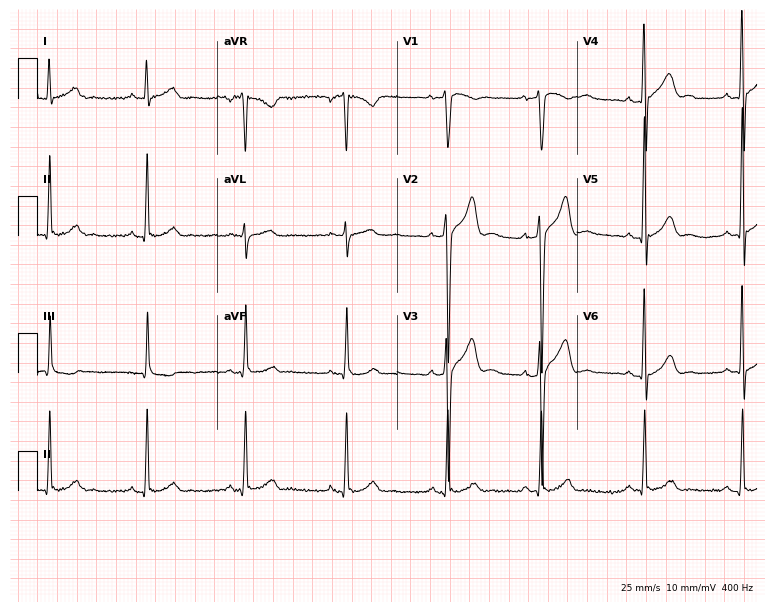
Resting 12-lead electrocardiogram. Patient: a male, 30 years old. Read as a normal ECG.